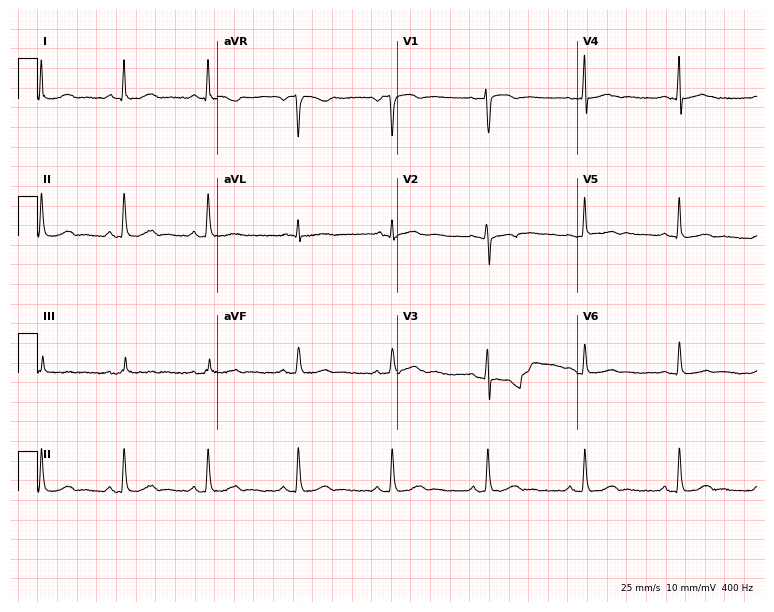
12-lead ECG (7.3-second recording at 400 Hz) from a 46-year-old woman. Screened for six findings — first-degree AV block, right bundle branch block, left bundle branch block, sinus bradycardia, atrial fibrillation, sinus tachycardia — none is recorded. Other findings, if any, are not listed.